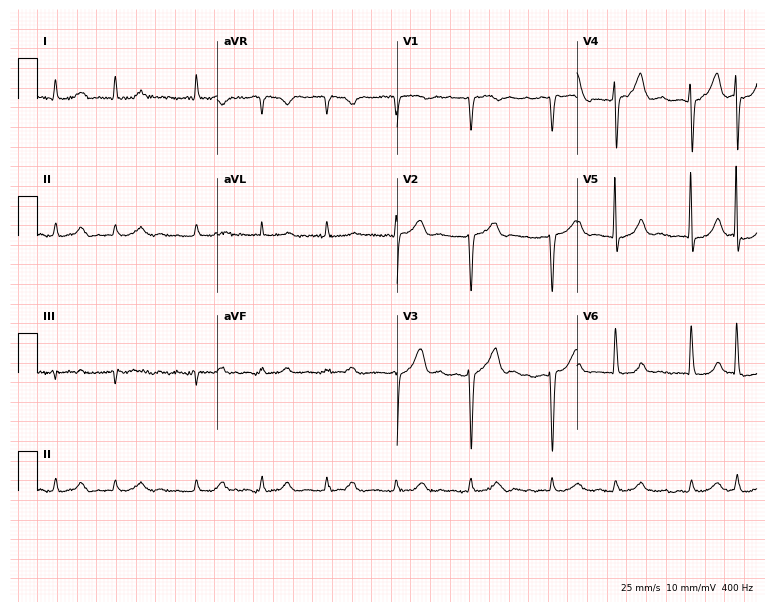
Standard 12-lead ECG recorded from an 80-year-old man (7.3-second recording at 400 Hz). The tracing shows atrial fibrillation.